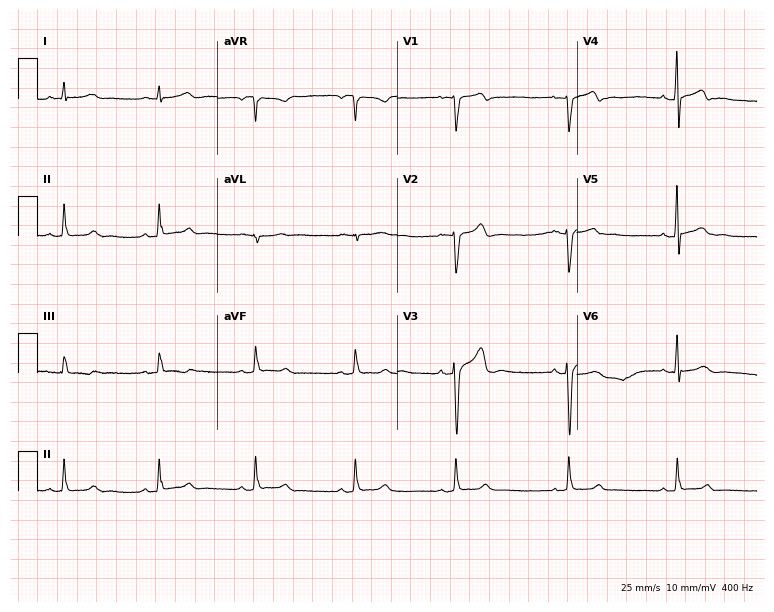
ECG — a 33-year-old man. Screened for six findings — first-degree AV block, right bundle branch block (RBBB), left bundle branch block (LBBB), sinus bradycardia, atrial fibrillation (AF), sinus tachycardia — none is recorded. Other findings, if any, are not listed.